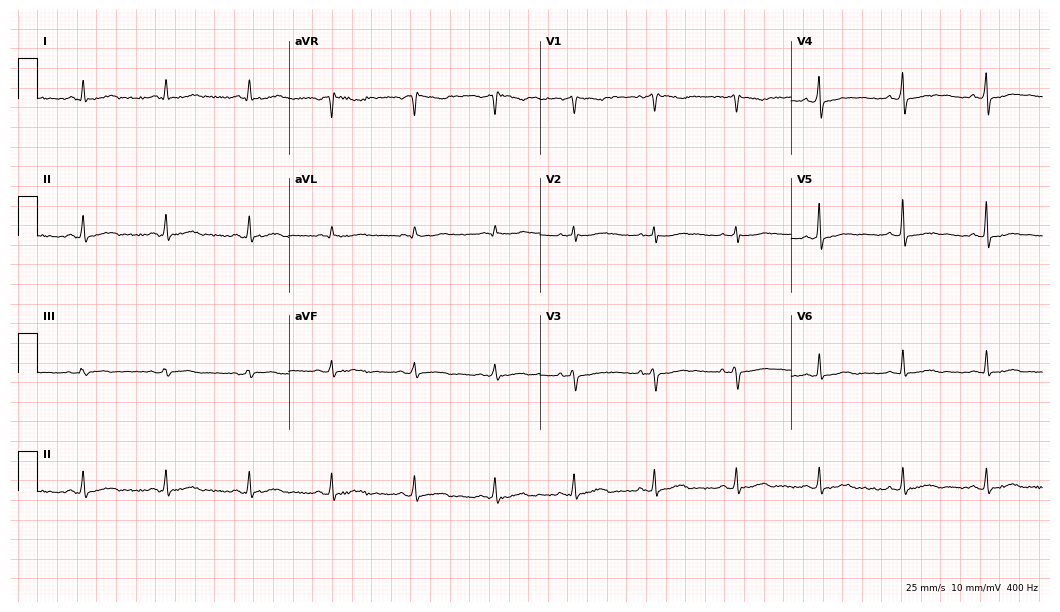
Standard 12-lead ECG recorded from a 54-year-old female patient (10.2-second recording at 400 Hz). None of these six findings is recorded: first-degree AV block, right bundle branch block (RBBB), left bundle branch block (LBBB), sinus bradycardia, atrial fibrillation (AF), sinus tachycardia. Only these six findings were labelled.